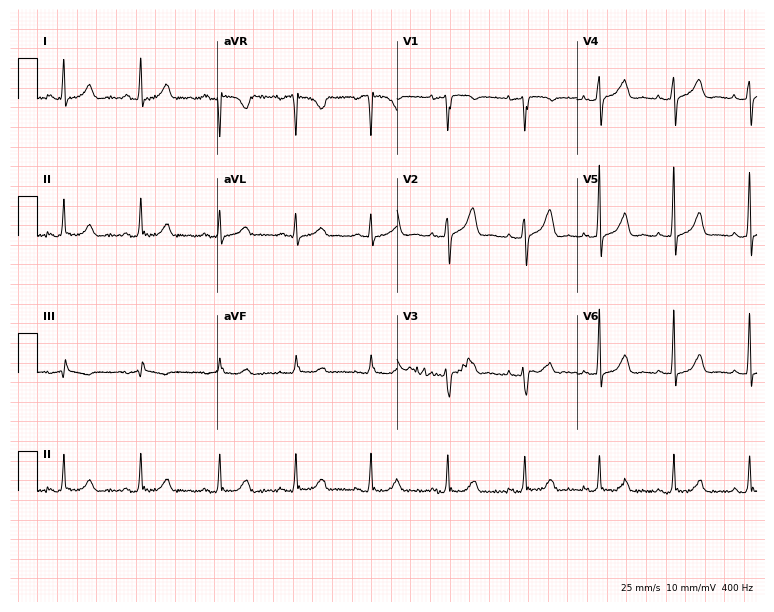
ECG — a 65-year-old female patient. Labelled as a normal ECG.